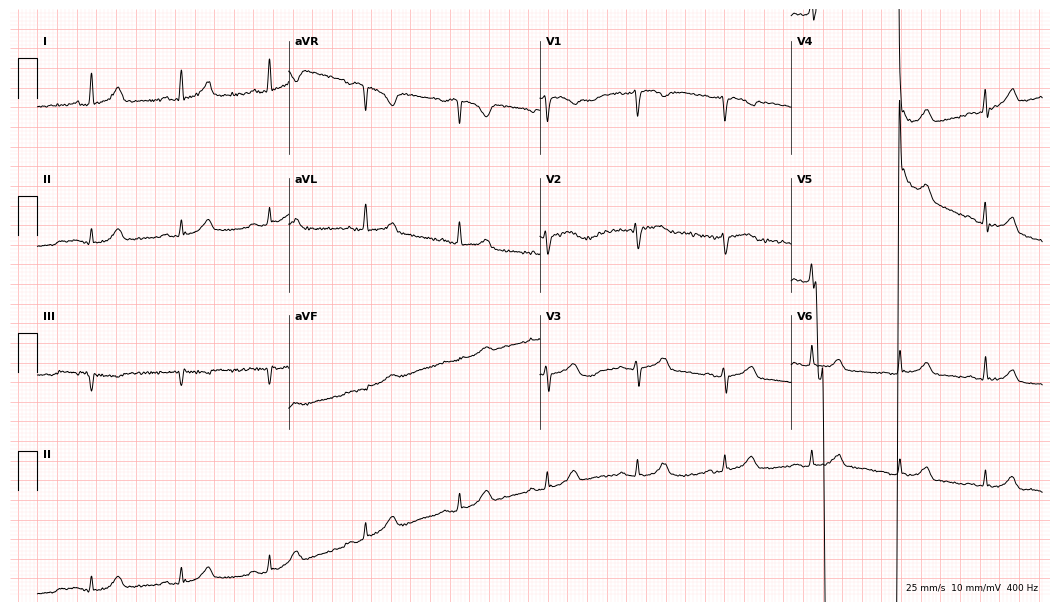
Standard 12-lead ECG recorded from a 62-year-old female (10.2-second recording at 400 Hz). None of these six findings is recorded: first-degree AV block, right bundle branch block, left bundle branch block, sinus bradycardia, atrial fibrillation, sinus tachycardia.